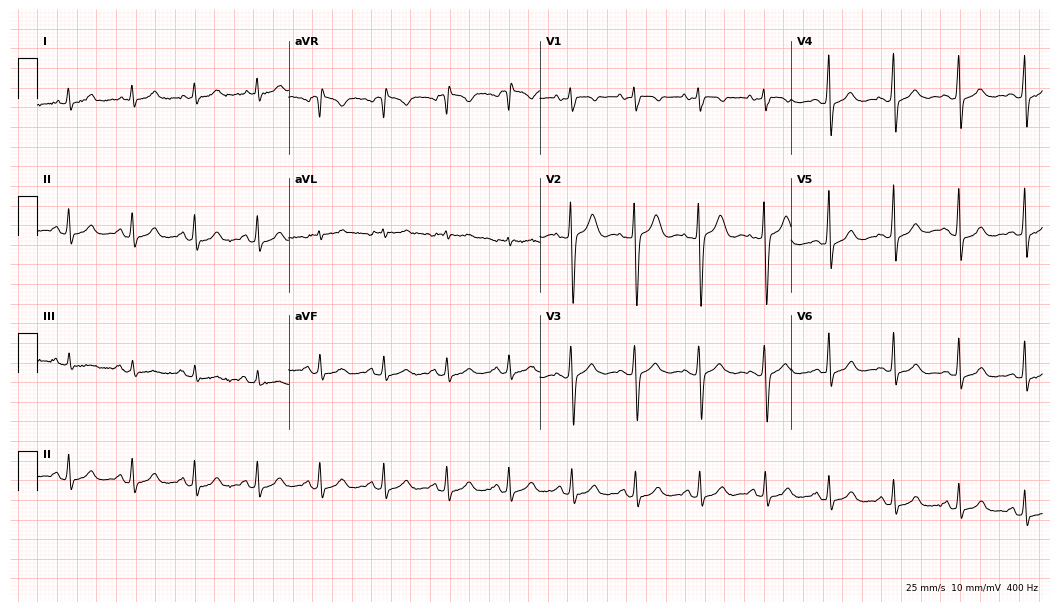
12-lead ECG from a woman, 20 years old. No first-degree AV block, right bundle branch block, left bundle branch block, sinus bradycardia, atrial fibrillation or sinus tachycardia recorded for this tracing. Findings outside these six are not listed.